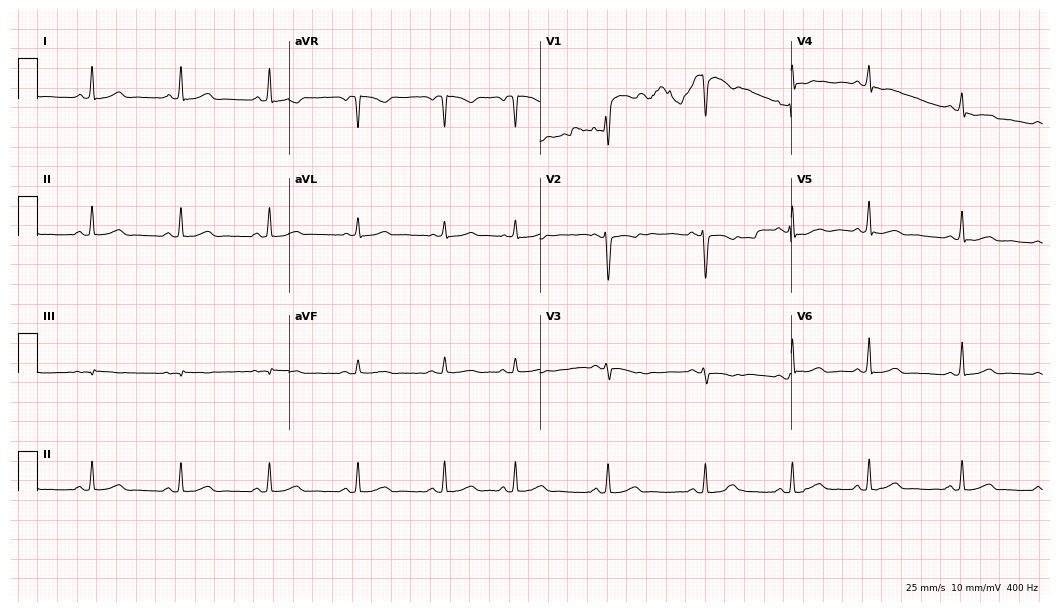
12-lead ECG from a female, 38 years old. Screened for six findings — first-degree AV block, right bundle branch block, left bundle branch block, sinus bradycardia, atrial fibrillation, sinus tachycardia — none is recorded. Findings outside these six are not listed.